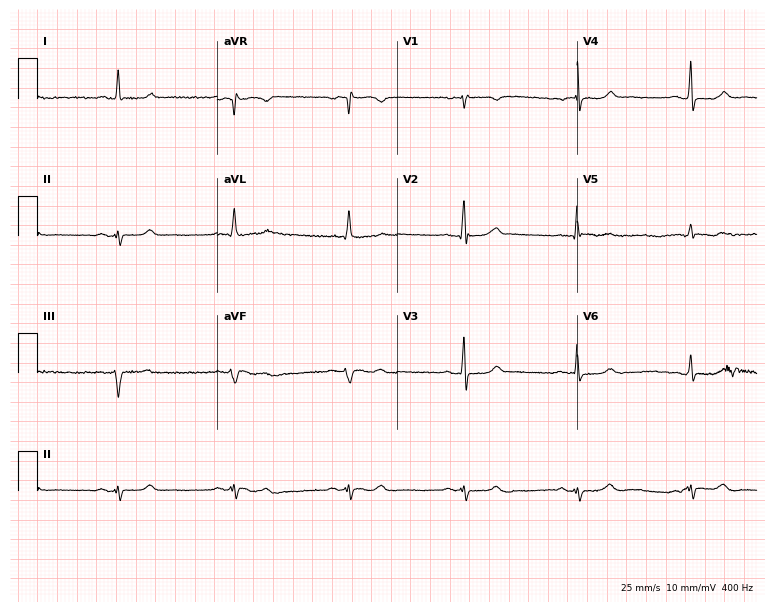
12-lead ECG from a 67-year-old male patient (7.3-second recording at 400 Hz). No first-degree AV block, right bundle branch block (RBBB), left bundle branch block (LBBB), sinus bradycardia, atrial fibrillation (AF) or sinus tachycardia recorded for this tracing.